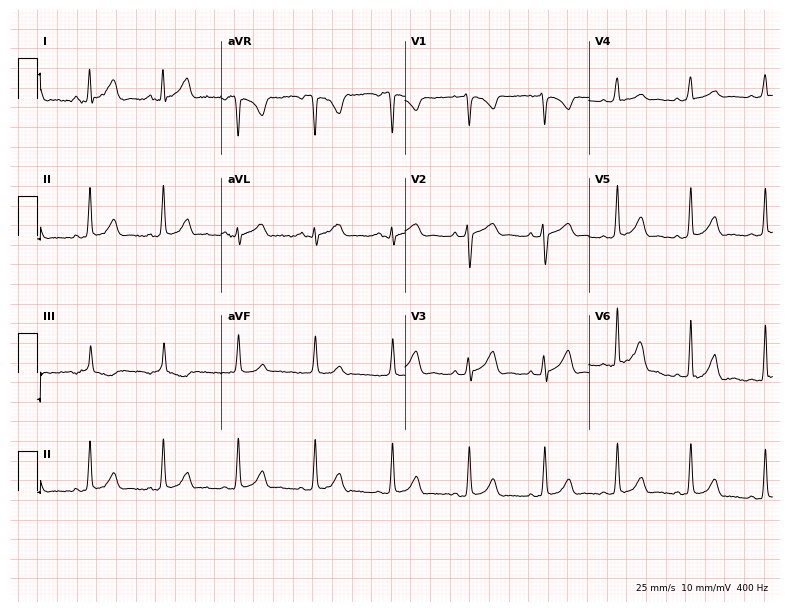
Electrocardiogram (7.5-second recording at 400 Hz), a female patient, 22 years old. Overall reading on record: normal ECG.